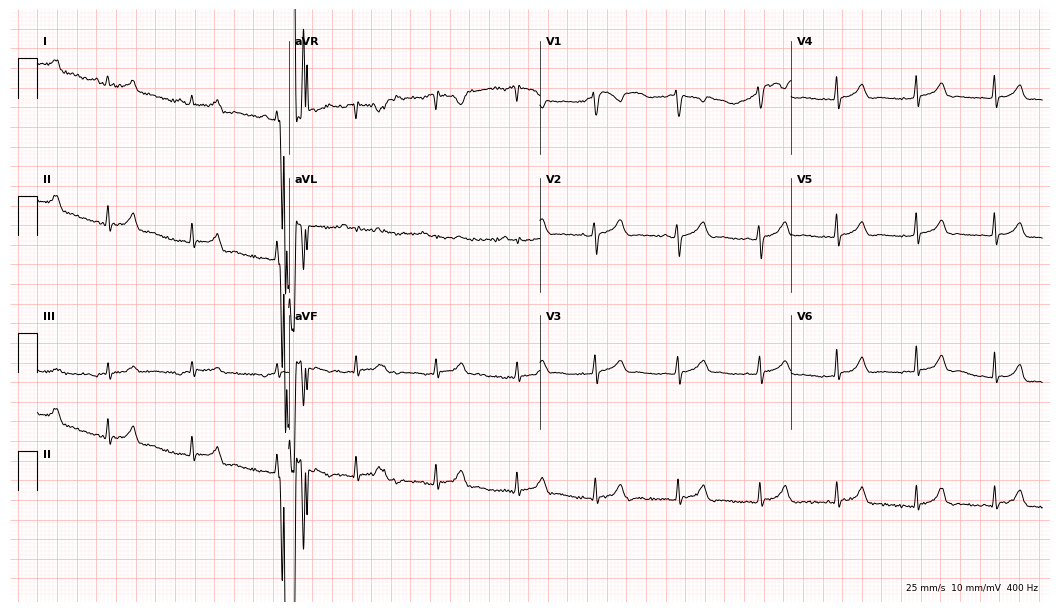
12-lead ECG from a 34-year-old woman. Labelled as a normal ECG.